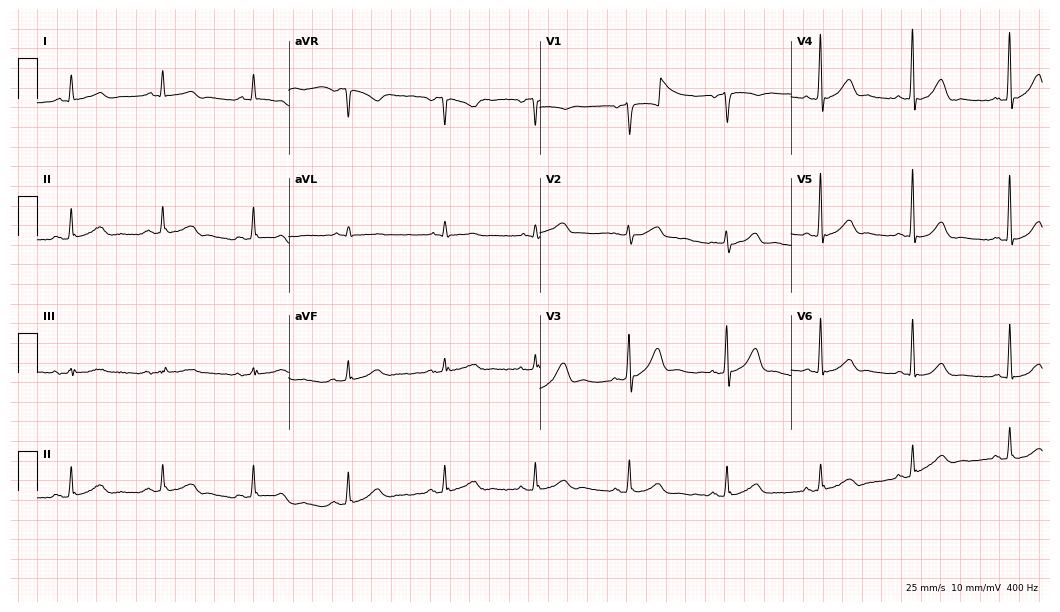
Electrocardiogram, a man, 67 years old. Overall reading on record: normal ECG.